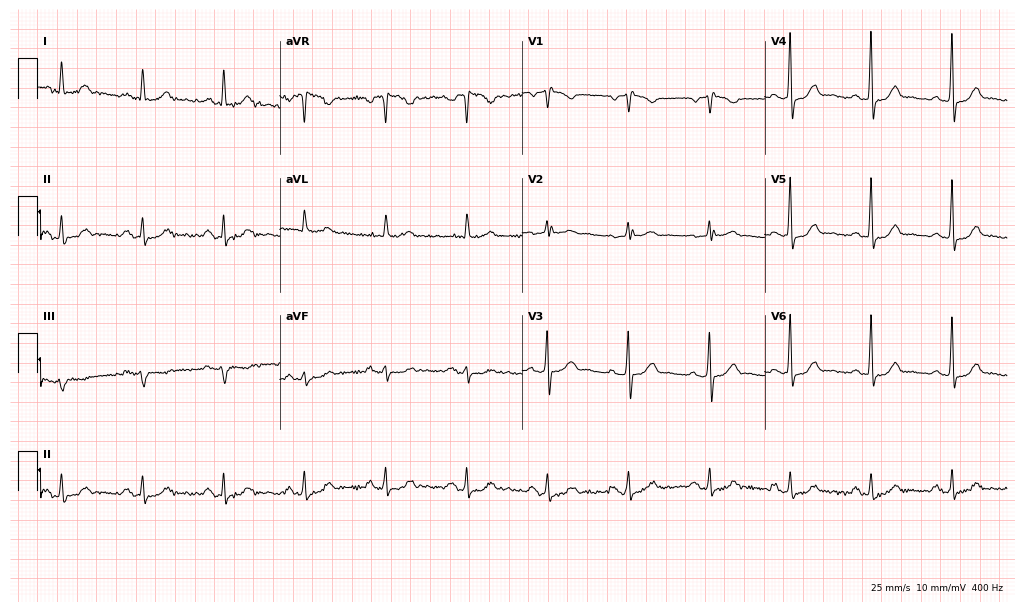
Standard 12-lead ECG recorded from a 74-year-old male (9.9-second recording at 400 Hz). None of these six findings is recorded: first-degree AV block, right bundle branch block, left bundle branch block, sinus bradycardia, atrial fibrillation, sinus tachycardia. Findings outside these six are not listed.